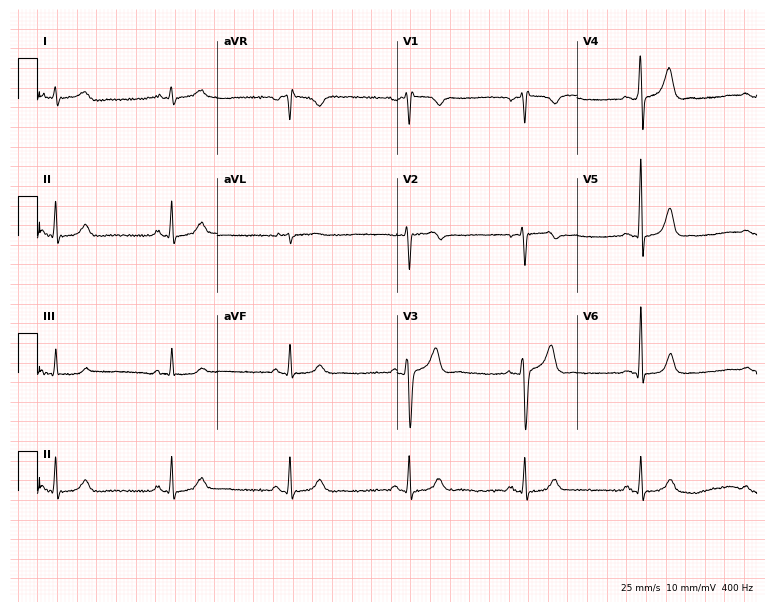
Electrocardiogram, a 36-year-old female. Of the six screened findings (first-degree AV block, right bundle branch block (RBBB), left bundle branch block (LBBB), sinus bradycardia, atrial fibrillation (AF), sinus tachycardia), none is recorded.